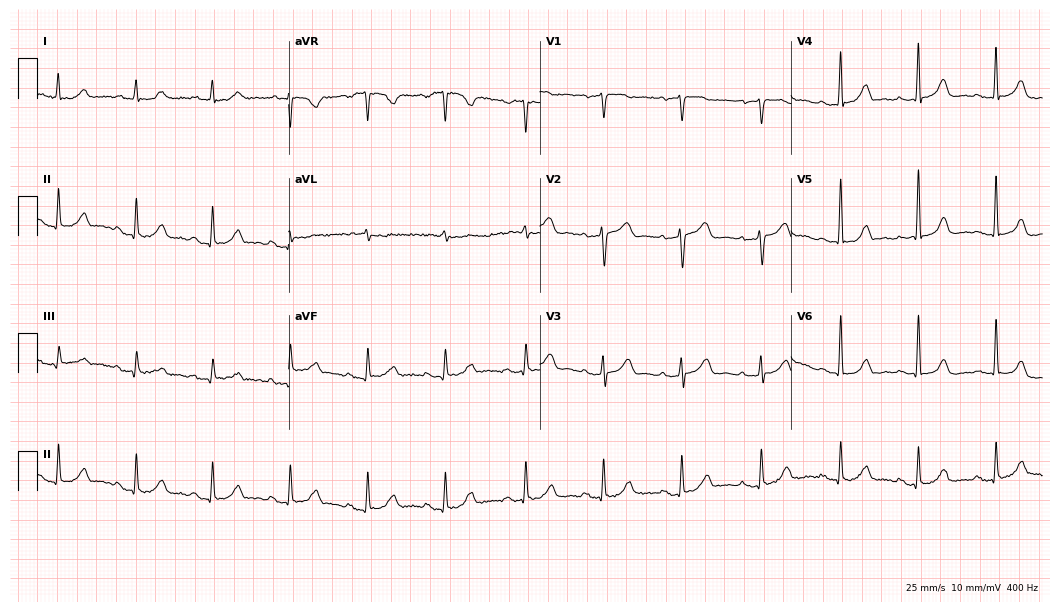
Standard 12-lead ECG recorded from a 76-year-old female patient (10.2-second recording at 400 Hz). Read as a normal ECG.